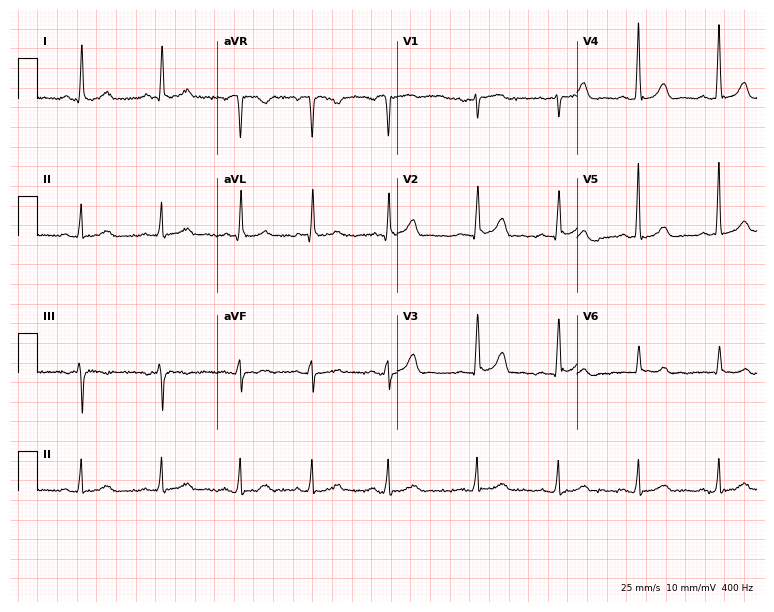
12-lead ECG from a female, 85 years old. Recorded interpretation: within normal limits.